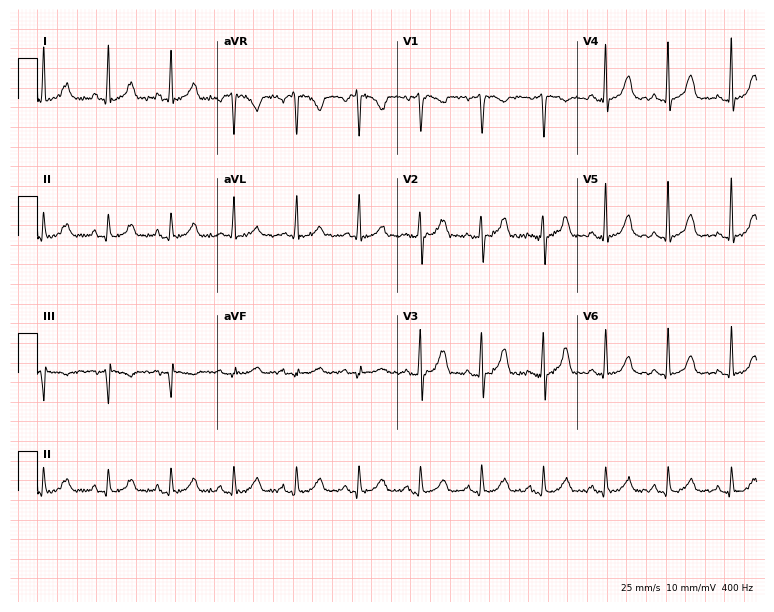
Resting 12-lead electrocardiogram. Patient: a 45-year-old female. Read as a normal ECG.